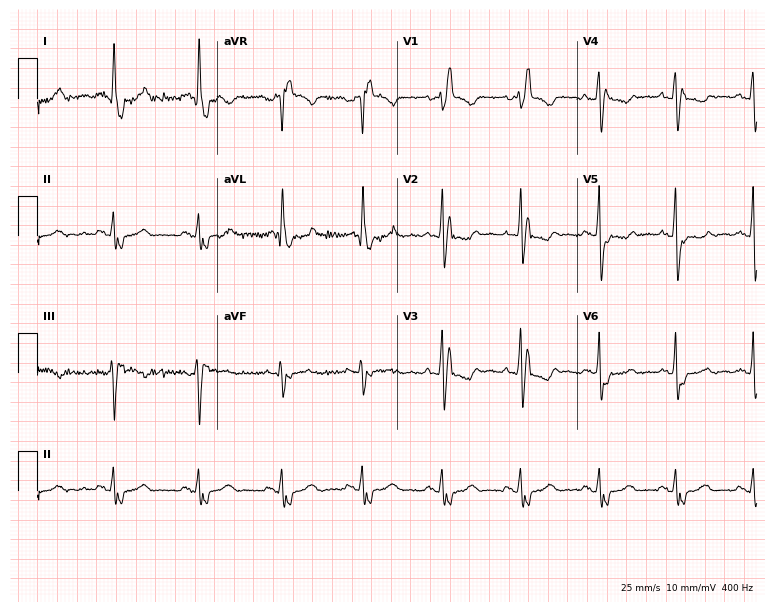
12-lead ECG from a 58-year-old female. Findings include right bundle branch block (RBBB).